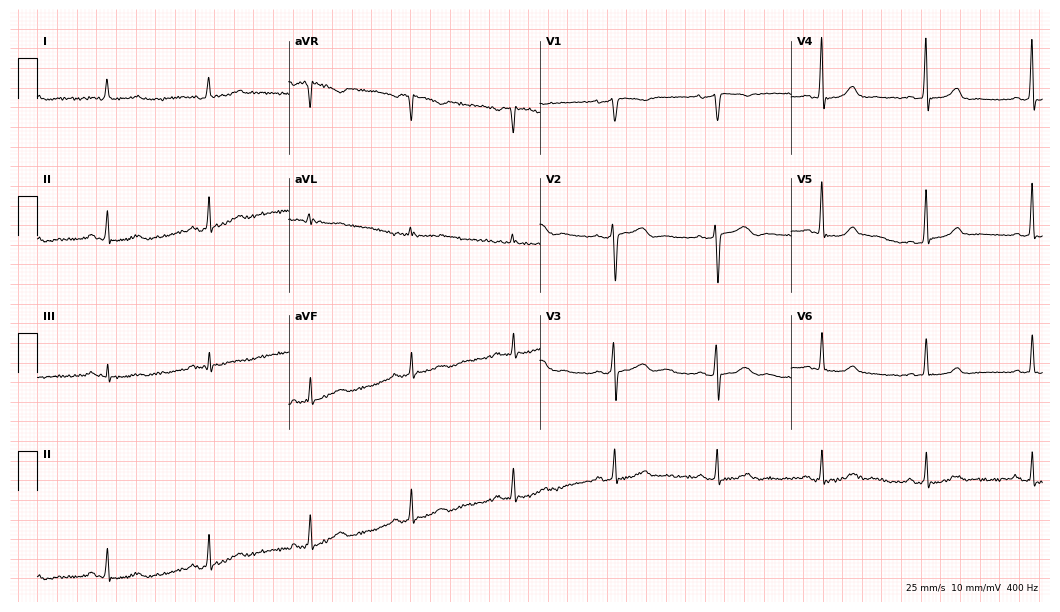
ECG — a female, 63 years old. Screened for six findings — first-degree AV block, right bundle branch block (RBBB), left bundle branch block (LBBB), sinus bradycardia, atrial fibrillation (AF), sinus tachycardia — none is recorded.